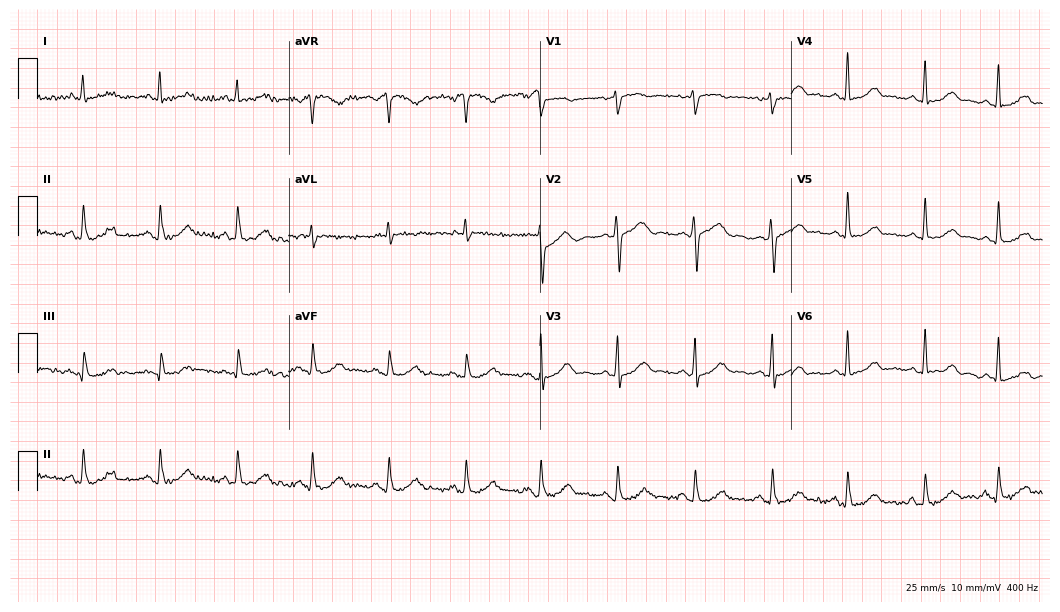
Resting 12-lead electrocardiogram. Patient: a female, 72 years old. Read as a normal ECG.